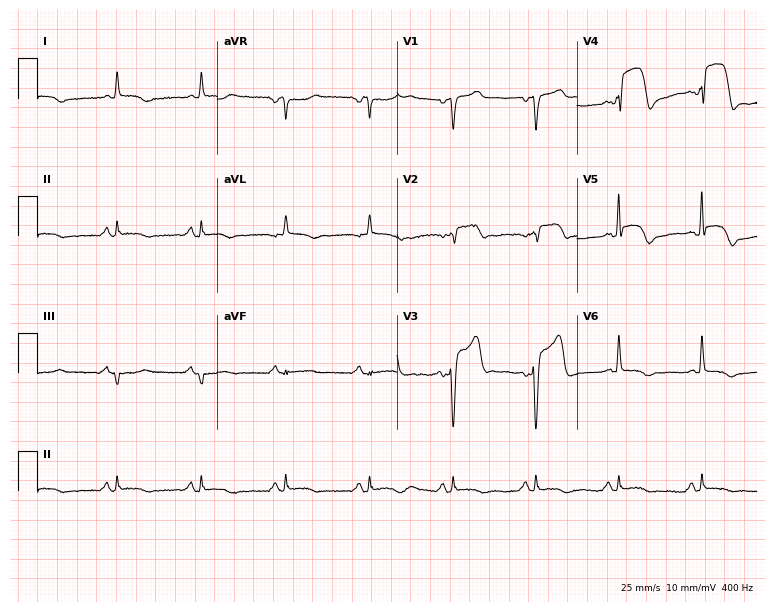
Resting 12-lead electrocardiogram (7.3-second recording at 400 Hz). Patient: a man, 80 years old. None of these six findings is recorded: first-degree AV block, right bundle branch block, left bundle branch block, sinus bradycardia, atrial fibrillation, sinus tachycardia. Findings outside these six are not listed.